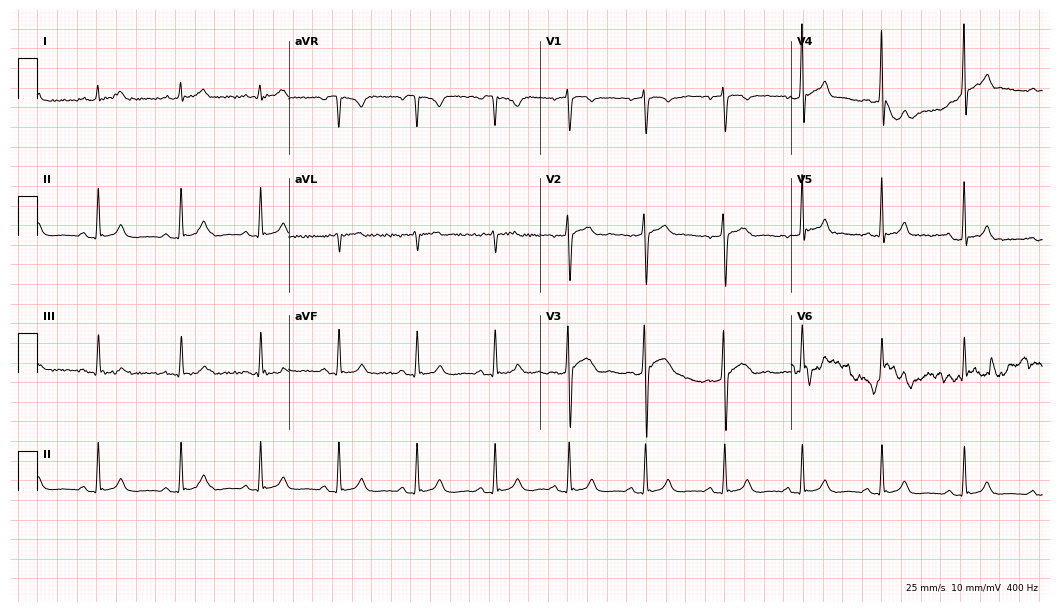
ECG (10.2-second recording at 400 Hz) — a 24-year-old male patient. Labelled as a normal ECG.